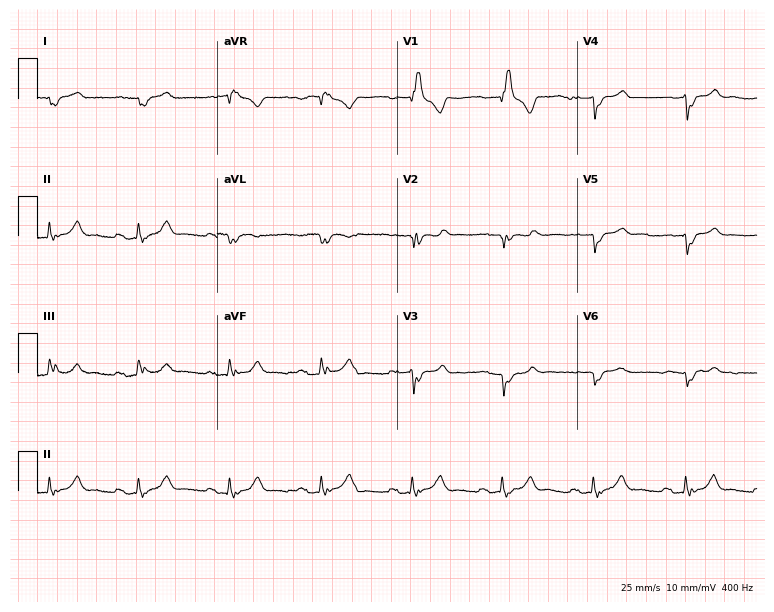
12-lead ECG from a 62-year-old male patient. Shows first-degree AV block, right bundle branch block (RBBB).